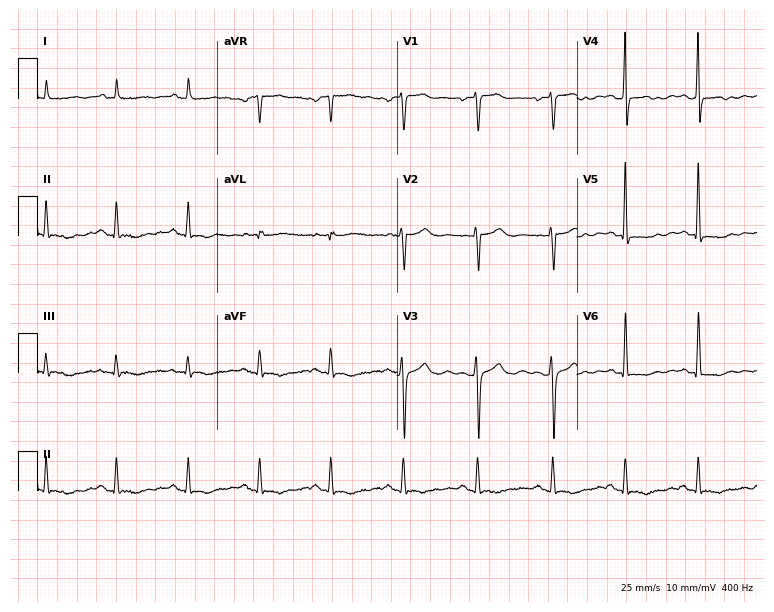
Resting 12-lead electrocardiogram (7.3-second recording at 400 Hz). Patient: a 49-year-old woman. None of these six findings is recorded: first-degree AV block, right bundle branch block (RBBB), left bundle branch block (LBBB), sinus bradycardia, atrial fibrillation (AF), sinus tachycardia.